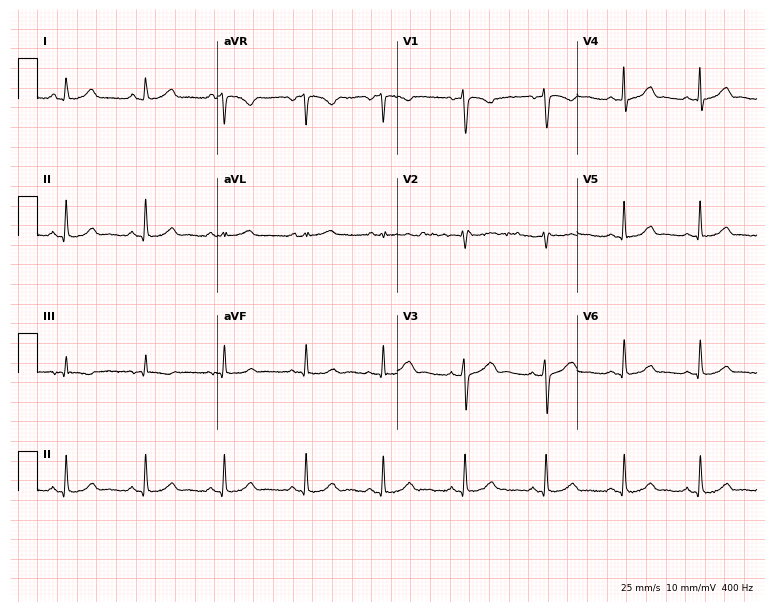
12-lead ECG from a 32-year-old female patient. Labelled as a normal ECG.